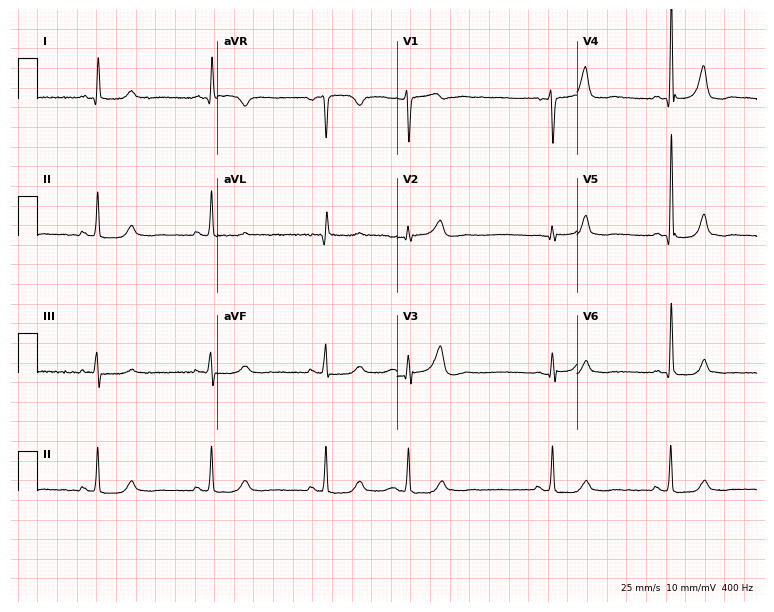
Standard 12-lead ECG recorded from an 82-year-old male patient (7.3-second recording at 400 Hz). None of these six findings is recorded: first-degree AV block, right bundle branch block, left bundle branch block, sinus bradycardia, atrial fibrillation, sinus tachycardia. Other findings, if any, are not listed.